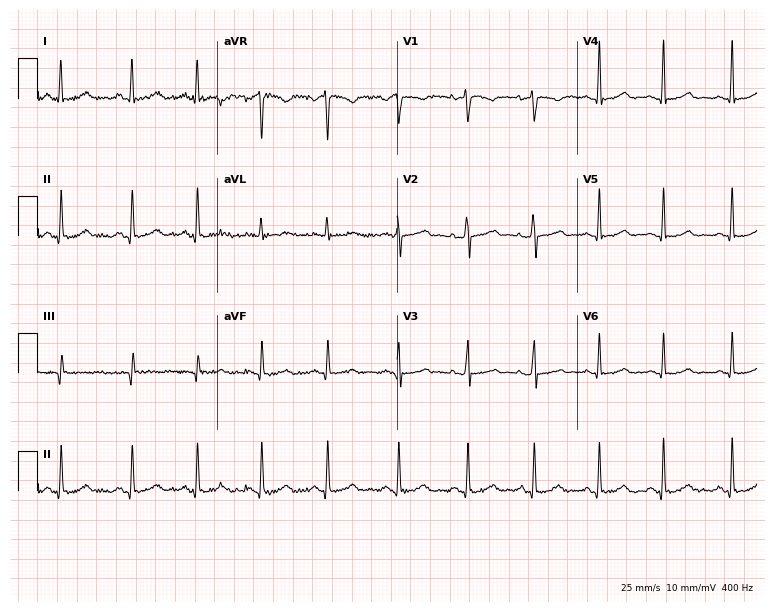
12-lead ECG from a female patient, 37 years old. Recorded interpretation: within normal limits.